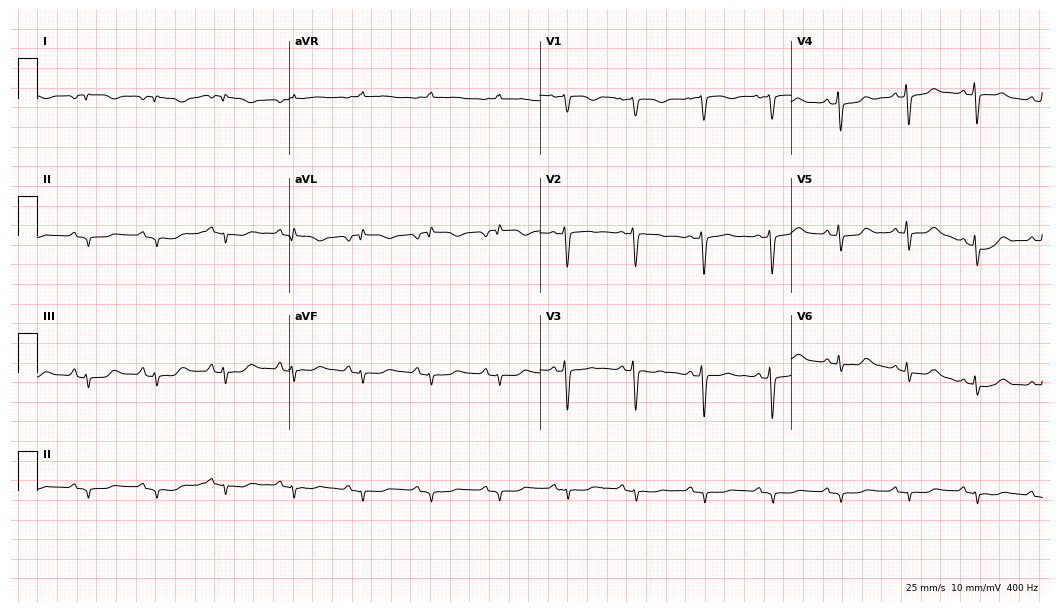
Resting 12-lead electrocardiogram (10.2-second recording at 400 Hz). Patient: a 67-year-old man. None of these six findings is recorded: first-degree AV block, right bundle branch block, left bundle branch block, sinus bradycardia, atrial fibrillation, sinus tachycardia. Other findings, if any, are not listed.